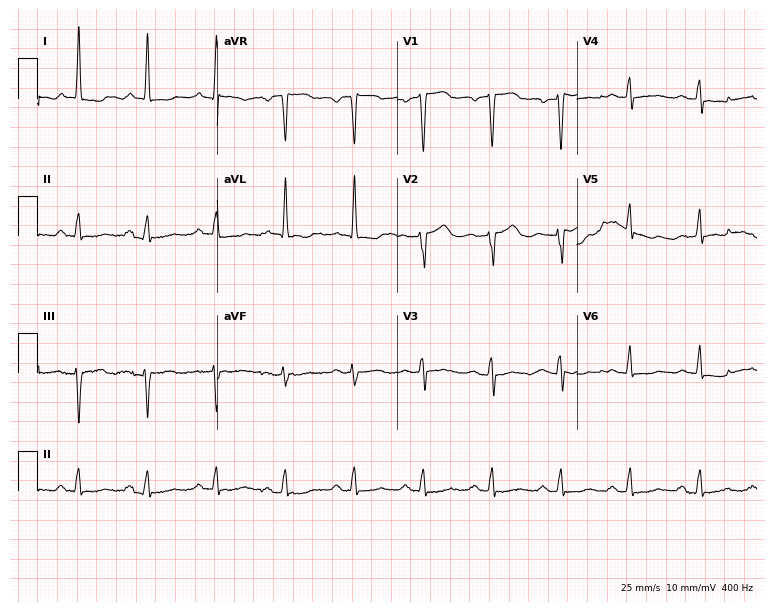
ECG — a 62-year-old woman. Screened for six findings — first-degree AV block, right bundle branch block, left bundle branch block, sinus bradycardia, atrial fibrillation, sinus tachycardia — none is recorded. Other findings, if any, are not listed.